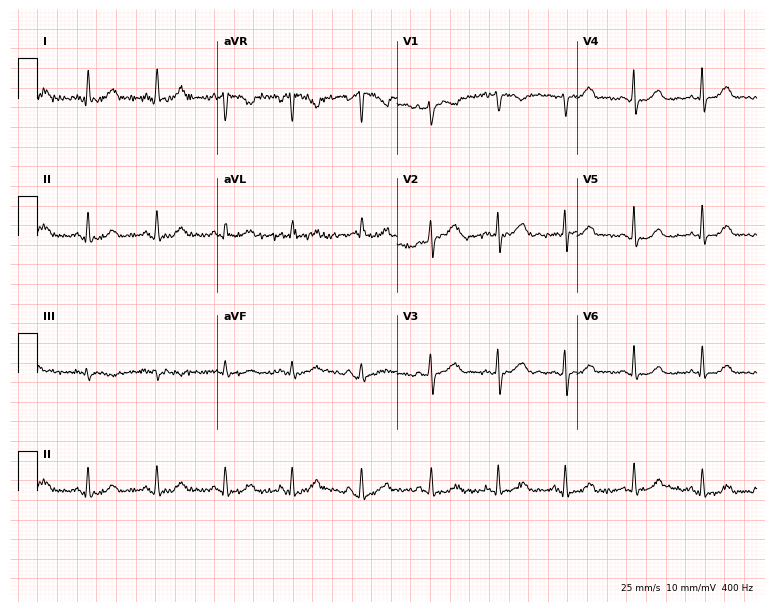
Resting 12-lead electrocardiogram (7.3-second recording at 400 Hz). Patient: a female, 54 years old. Read as a normal ECG.